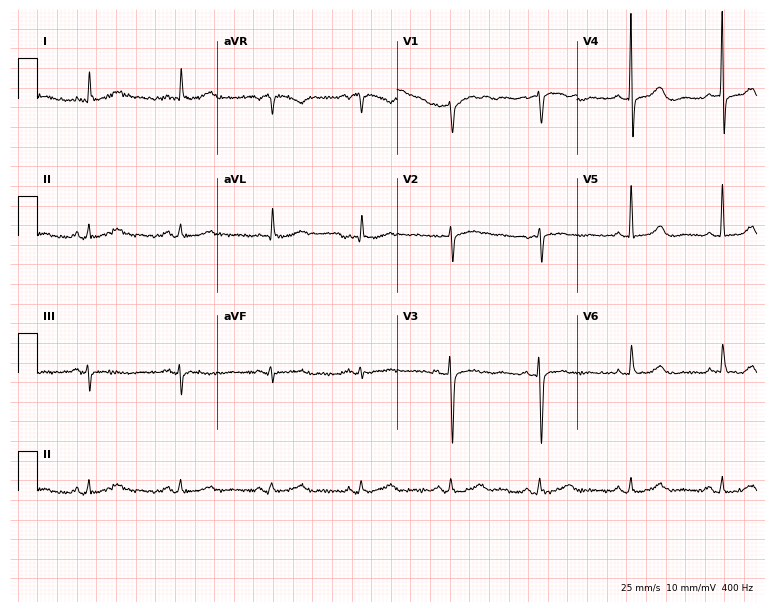
Resting 12-lead electrocardiogram. Patient: a 77-year-old woman. None of these six findings is recorded: first-degree AV block, right bundle branch block (RBBB), left bundle branch block (LBBB), sinus bradycardia, atrial fibrillation (AF), sinus tachycardia. Findings outside these six are not listed.